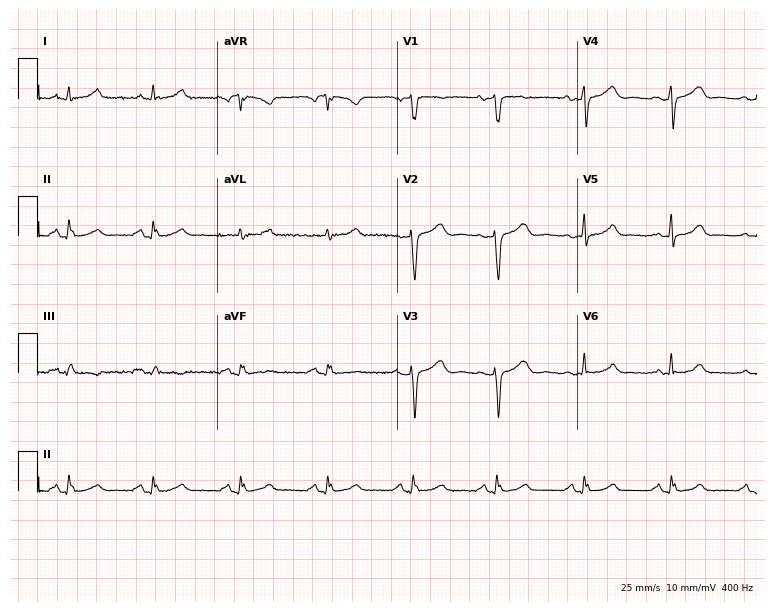
12-lead ECG from a 58-year-old woman. Labelled as a normal ECG.